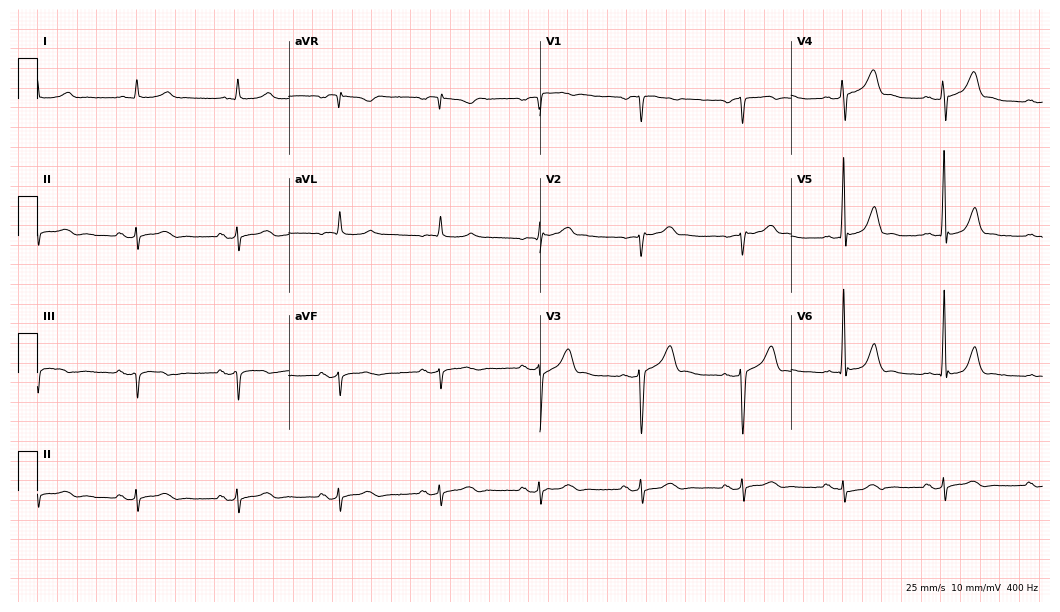
12-lead ECG from a man, 72 years old. Screened for six findings — first-degree AV block, right bundle branch block, left bundle branch block, sinus bradycardia, atrial fibrillation, sinus tachycardia — none is recorded.